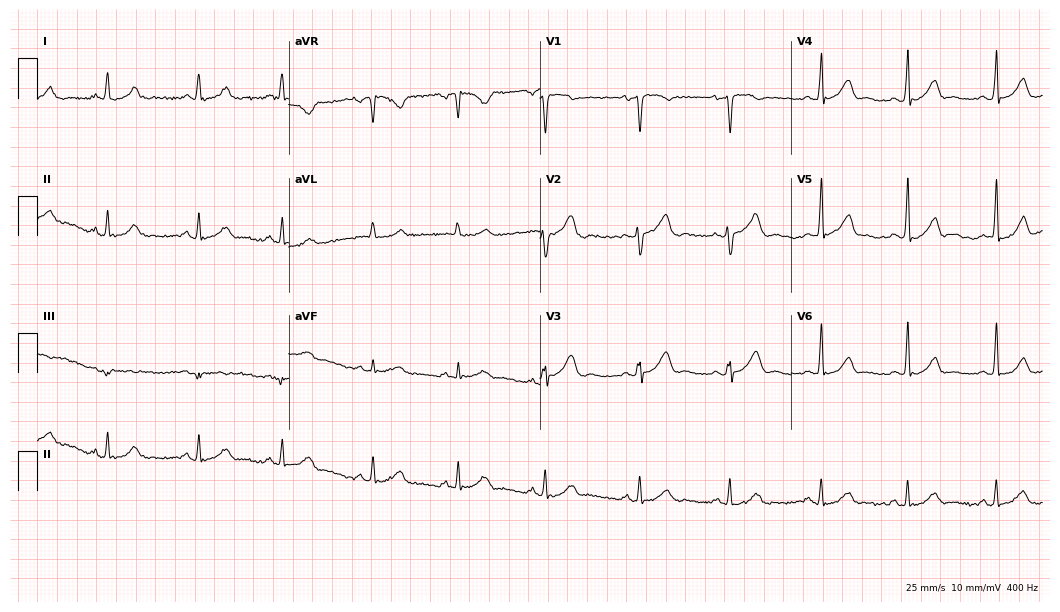
Standard 12-lead ECG recorded from a female, 36 years old (10.2-second recording at 400 Hz). Read as a normal ECG.